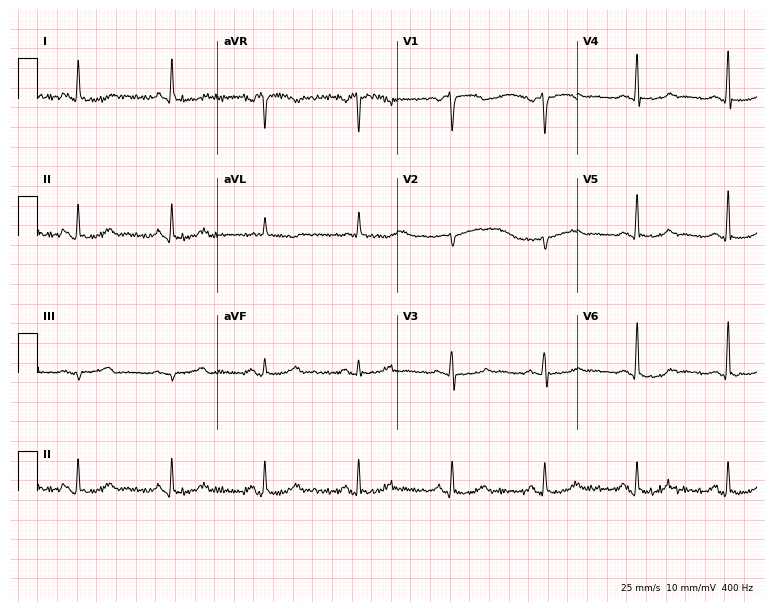
Resting 12-lead electrocardiogram (7.3-second recording at 400 Hz). Patient: a female, 54 years old. Read as a normal ECG.